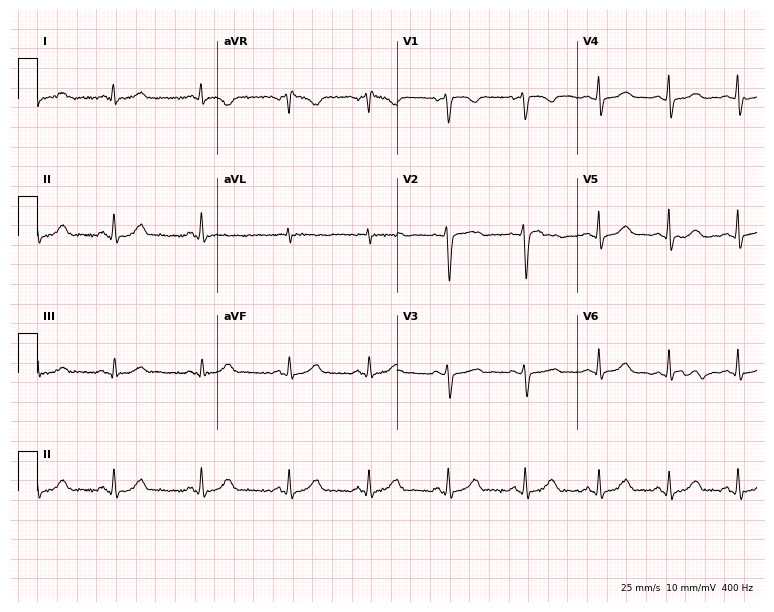
12-lead ECG from a female patient, 25 years old (7.3-second recording at 400 Hz). No first-degree AV block, right bundle branch block, left bundle branch block, sinus bradycardia, atrial fibrillation or sinus tachycardia recorded for this tracing.